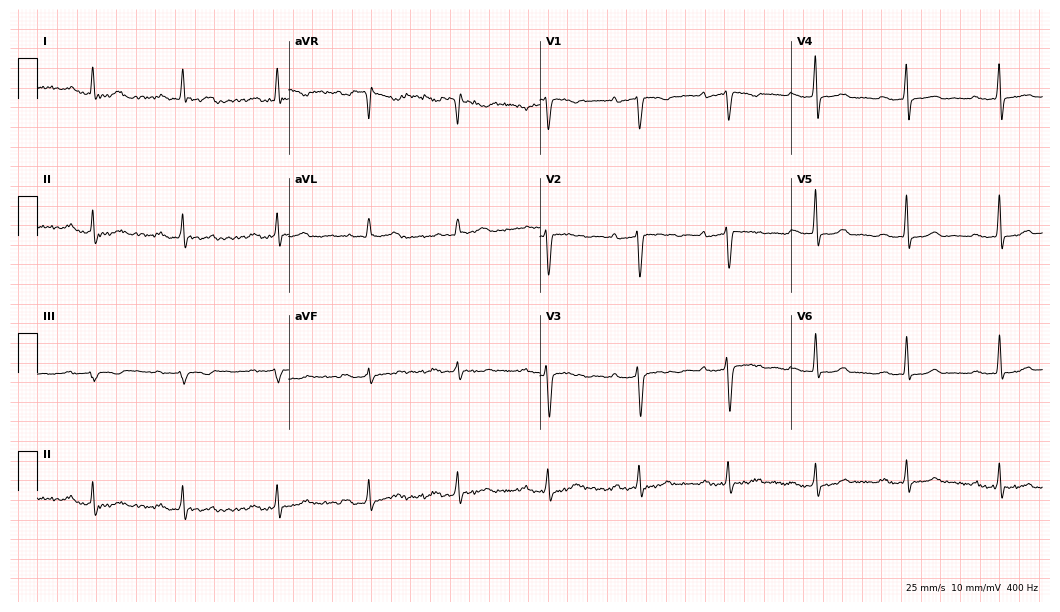
ECG — a female patient, 48 years old. Findings include first-degree AV block.